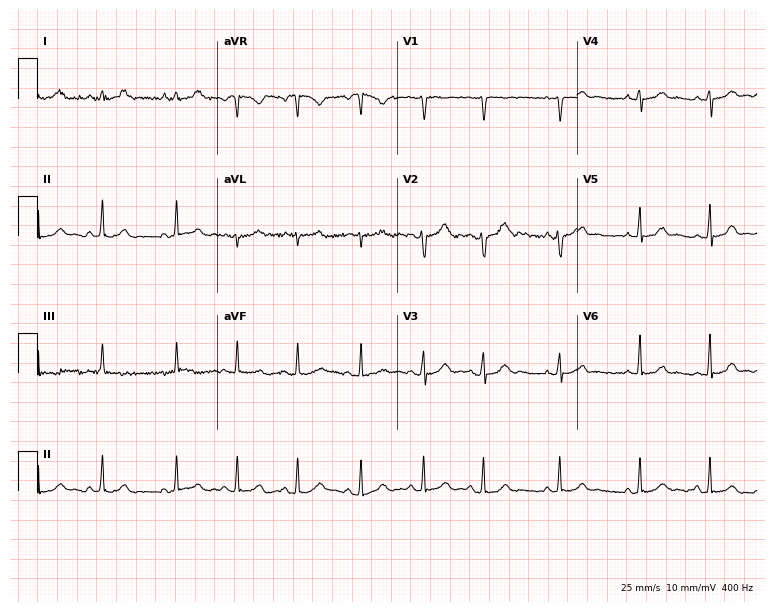
Electrocardiogram (7.3-second recording at 400 Hz), a 20-year-old female patient. Overall reading on record: normal ECG.